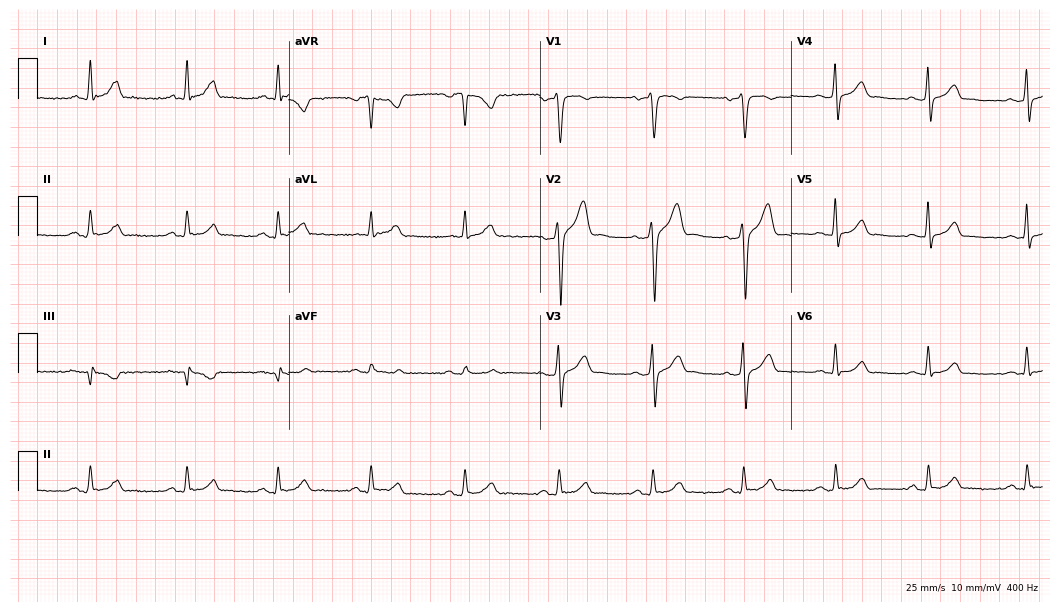
12-lead ECG from a male, 41 years old. Recorded interpretation: within normal limits.